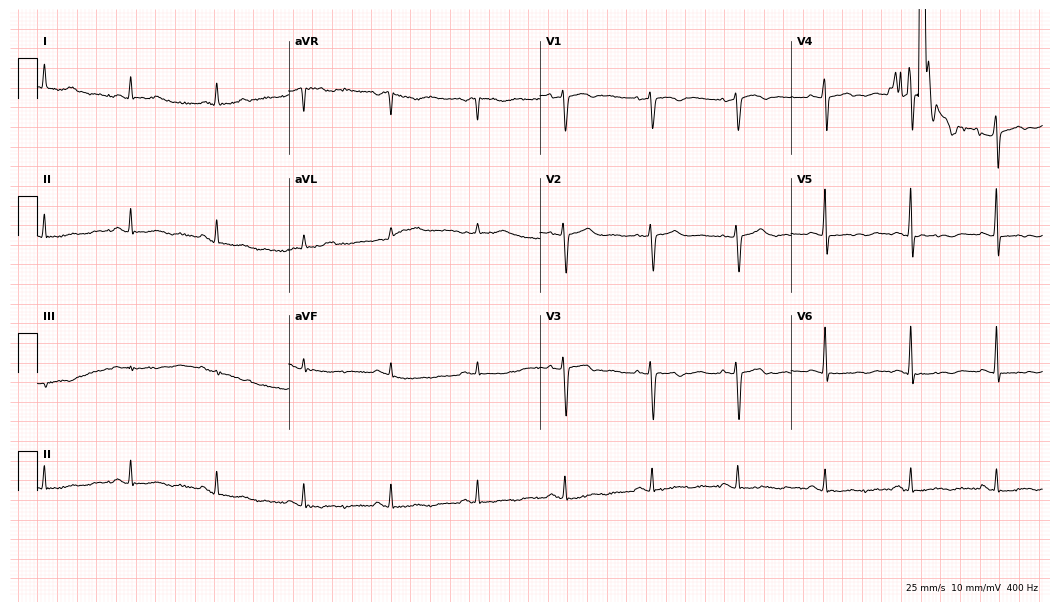
12-lead ECG from a 57-year-old female patient (10.2-second recording at 400 Hz). No first-degree AV block, right bundle branch block, left bundle branch block, sinus bradycardia, atrial fibrillation or sinus tachycardia recorded for this tracing. Findings outside these six are not listed.